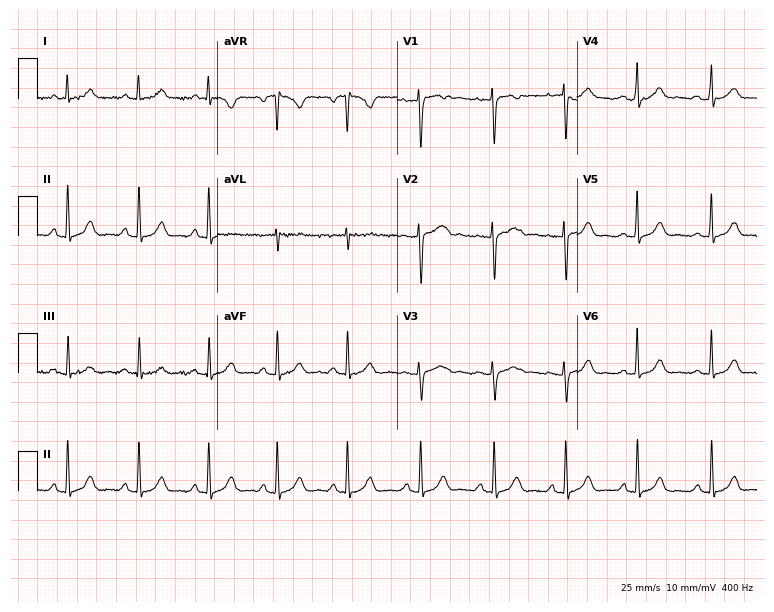
12-lead ECG from a 27-year-old female (7.3-second recording at 400 Hz). Recorded interpretation: within normal limits.